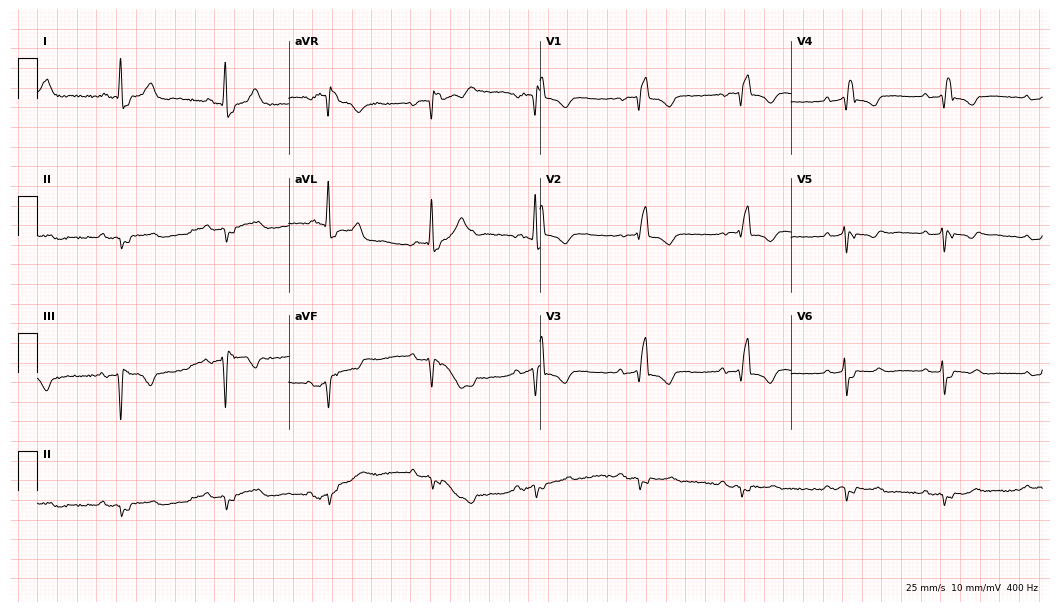
Standard 12-lead ECG recorded from a male, 82 years old (10.2-second recording at 400 Hz). The tracing shows right bundle branch block.